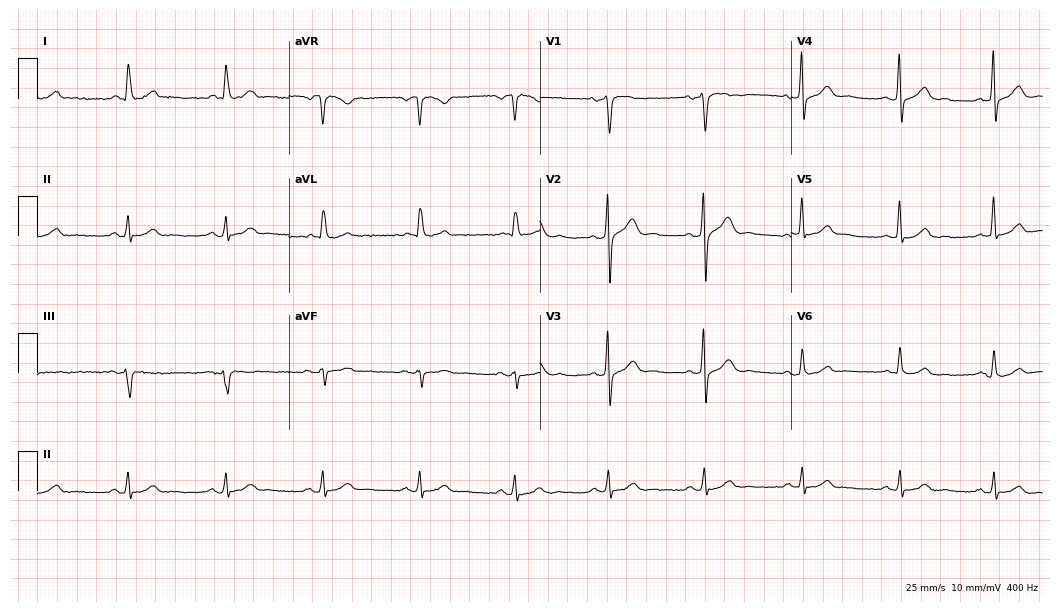
Resting 12-lead electrocardiogram. Patient: a man, 48 years old. Read as a normal ECG.